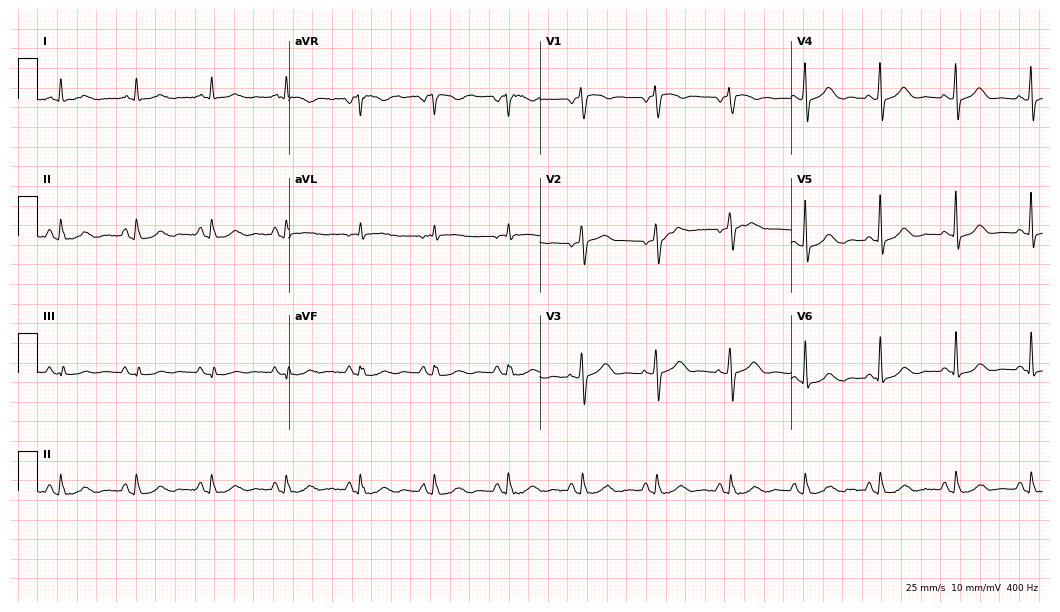
Resting 12-lead electrocardiogram (10.2-second recording at 400 Hz). Patient: a woman, 77 years old. Read as a normal ECG.